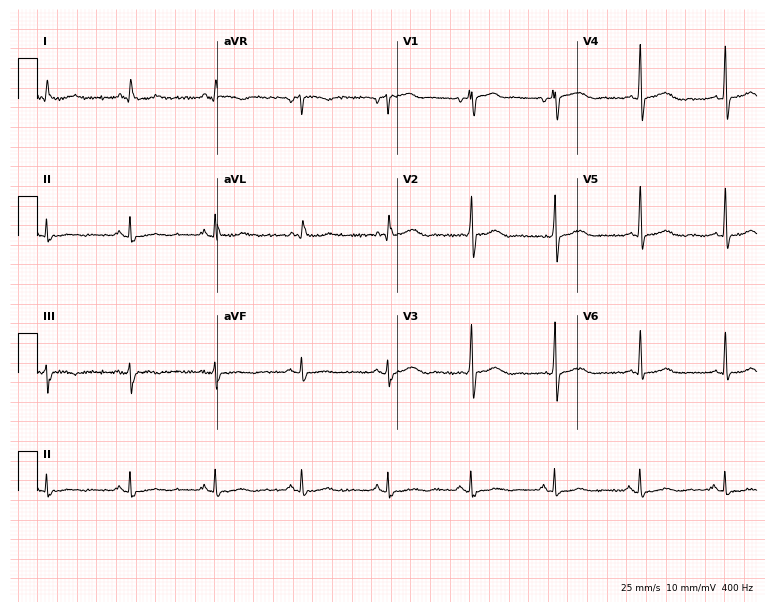
Standard 12-lead ECG recorded from a 73-year-old female. None of these six findings is recorded: first-degree AV block, right bundle branch block, left bundle branch block, sinus bradycardia, atrial fibrillation, sinus tachycardia.